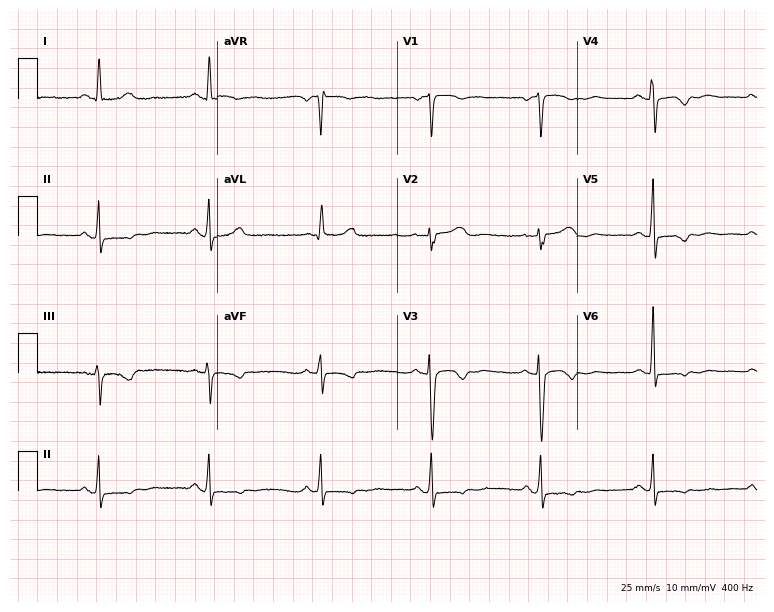
Standard 12-lead ECG recorded from a 55-year-old female (7.3-second recording at 400 Hz). None of these six findings is recorded: first-degree AV block, right bundle branch block (RBBB), left bundle branch block (LBBB), sinus bradycardia, atrial fibrillation (AF), sinus tachycardia.